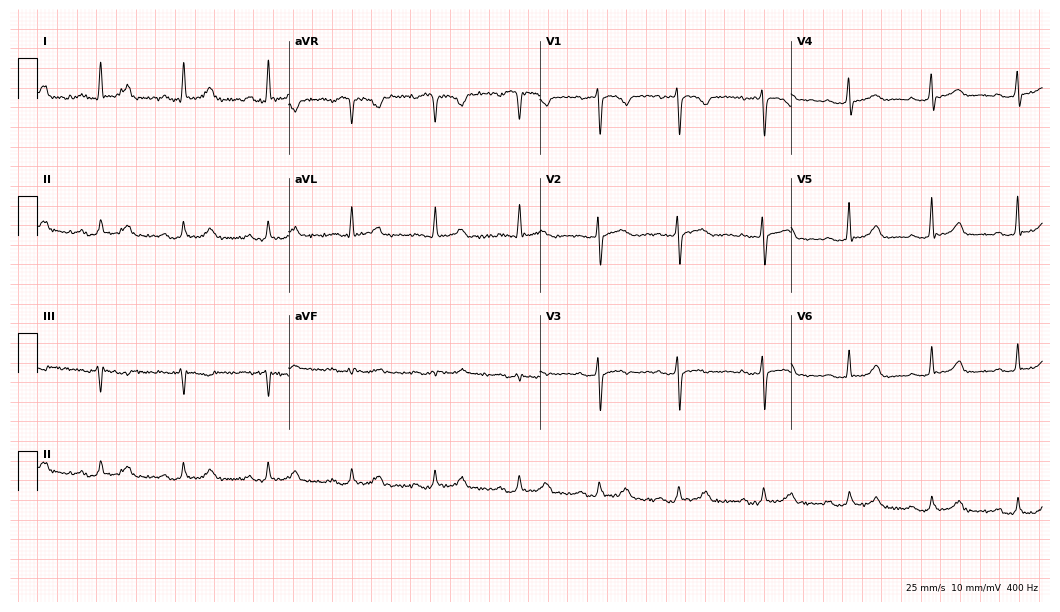
ECG (10.2-second recording at 400 Hz) — a 56-year-old female patient. Labelled as a normal ECG.